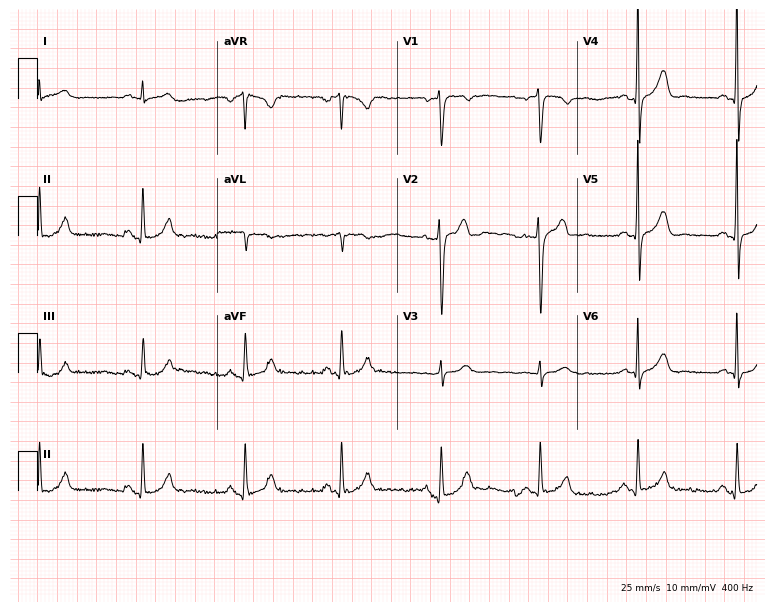
Resting 12-lead electrocardiogram. Patient: a man, 37 years old. None of these six findings is recorded: first-degree AV block, right bundle branch block, left bundle branch block, sinus bradycardia, atrial fibrillation, sinus tachycardia. Findings outside these six are not listed.